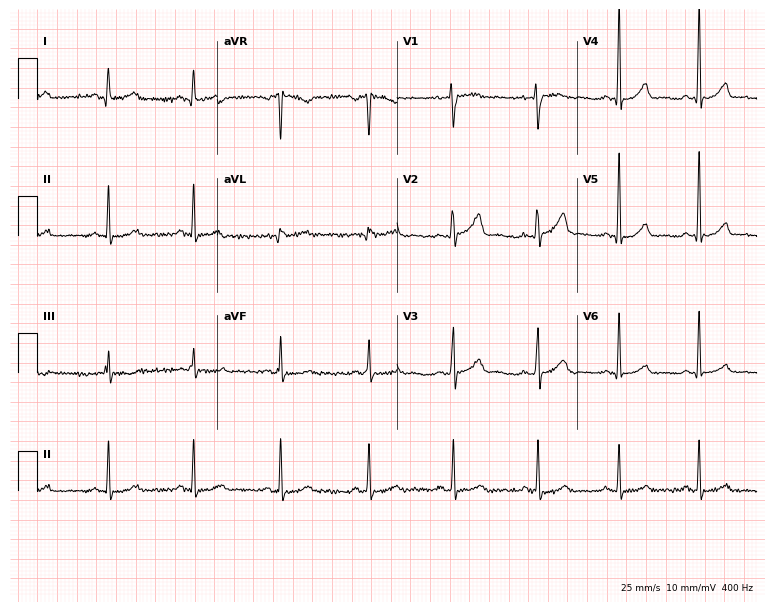
ECG (7.3-second recording at 400 Hz) — a female, 40 years old. Screened for six findings — first-degree AV block, right bundle branch block, left bundle branch block, sinus bradycardia, atrial fibrillation, sinus tachycardia — none is recorded. Findings outside these six are not listed.